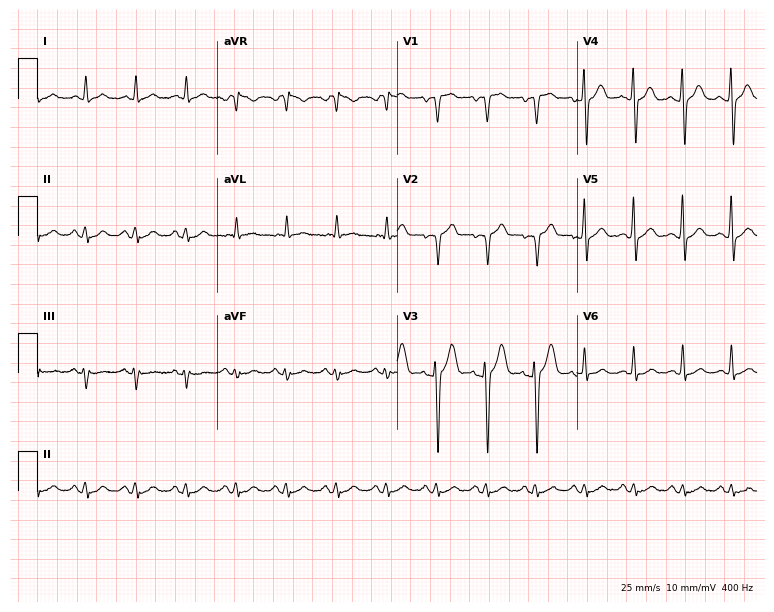
ECG (7.3-second recording at 400 Hz) — a female, 52 years old. Findings include sinus tachycardia (a sinus rate of 100 beats per minute or more).